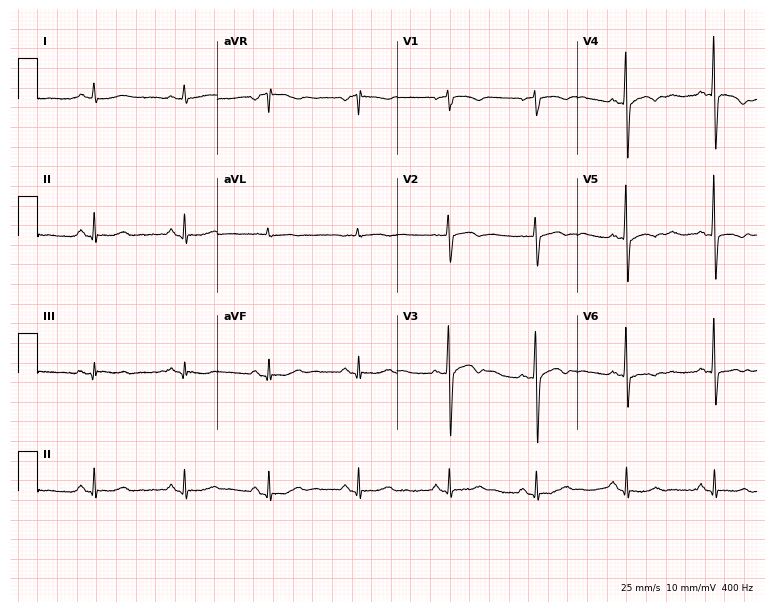
Resting 12-lead electrocardiogram (7.3-second recording at 400 Hz). Patient: a female, 63 years old. None of these six findings is recorded: first-degree AV block, right bundle branch block, left bundle branch block, sinus bradycardia, atrial fibrillation, sinus tachycardia. Findings outside these six are not listed.